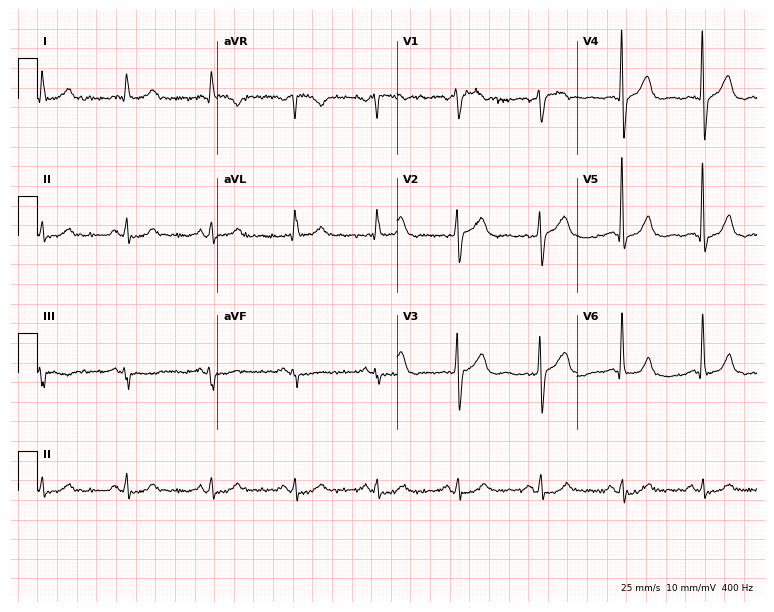
Electrocardiogram (7.3-second recording at 400 Hz), a male patient, 59 years old. Of the six screened findings (first-degree AV block, right bundle branch block (RBBB), left bundle branch block (LBBB), sinus bradycardia, atrial fibrillation (AF), sinus tachycardia), none is recorded. Findings outside these six are not listed.